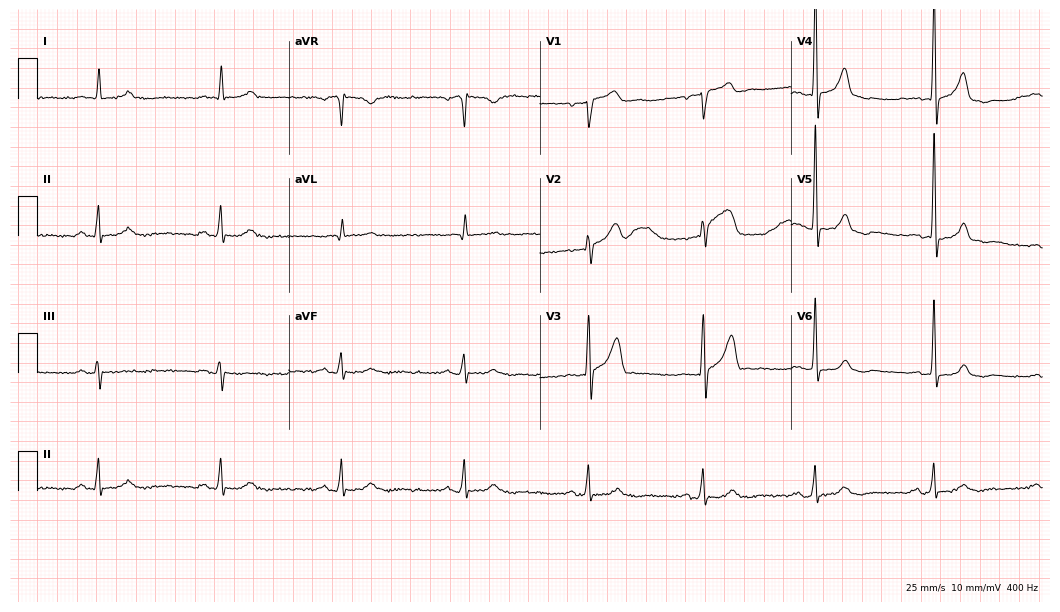
12-lead ECG from a 79-year-old male (10.2-second recording at 400 Hz). Shows sinus bradycardia (a sinus rate of 50 beats per minute or less).